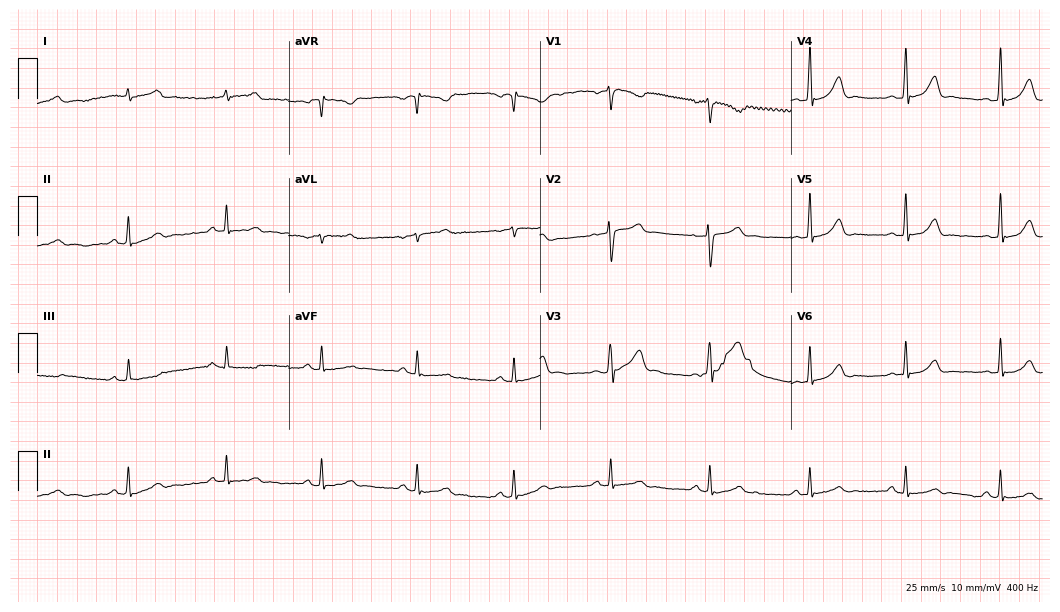
ECG — a male patient, 37 years old. Labelled as a normal ECG.